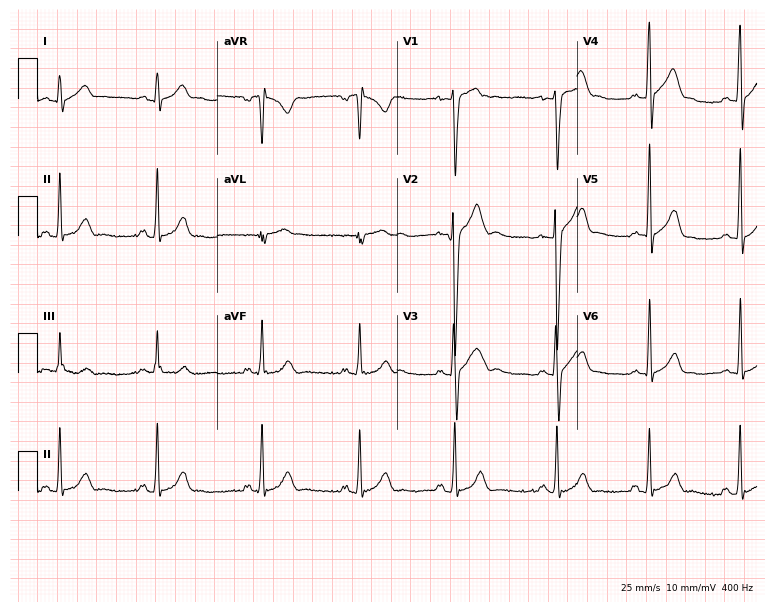
ECG — a male, 26 years old. Screened for six findings — first-degree AV block, right bundle branch block, left bundle branch block, sinus bradycardia, atrial fibrillation, sinus tachycardia — none is recorded. Other findings, if any, are not listed.